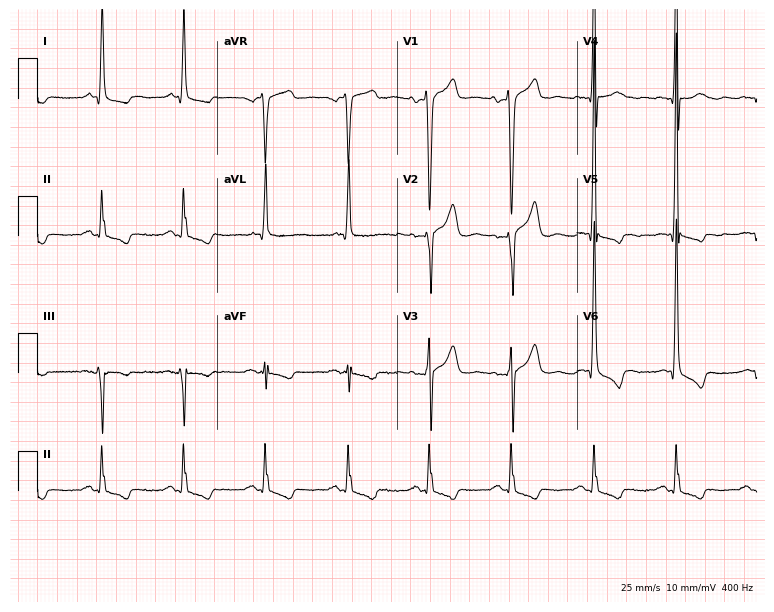
12-lead ECG from a male, 58 years old. No first-degree AV block, right bundle branch block, left bundle branch block, sinus bradycardia, atrial fibrillation or sinus tachycardia recorded for this tracing.